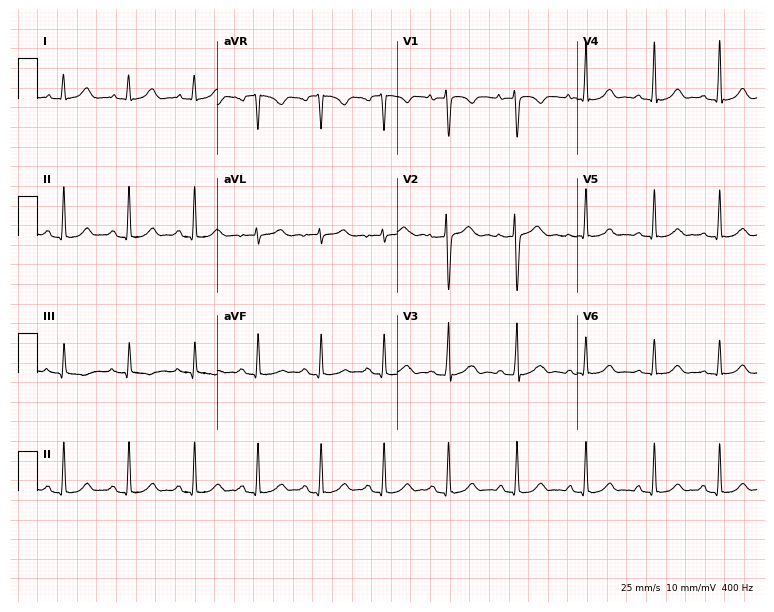
Electrocardiogram, a 35-year-old woman. Overall reading on record: normal ECG.